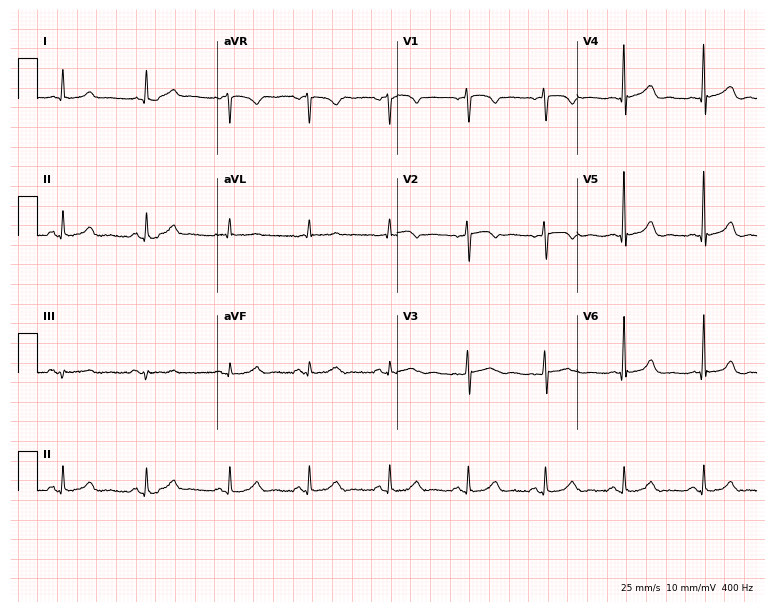
Standard 12-lead ECG recorded from a 55-year-old female (7.3-second recording at 400 Hz). None of these six findings is recorded: first-degree AV block, right bundle branch block (RBBB), left bundle branch block (LBBB), sinus bradycardia, atrial fibrillation (AF), sinus tachycardia. Other findings, if any, are not listed.